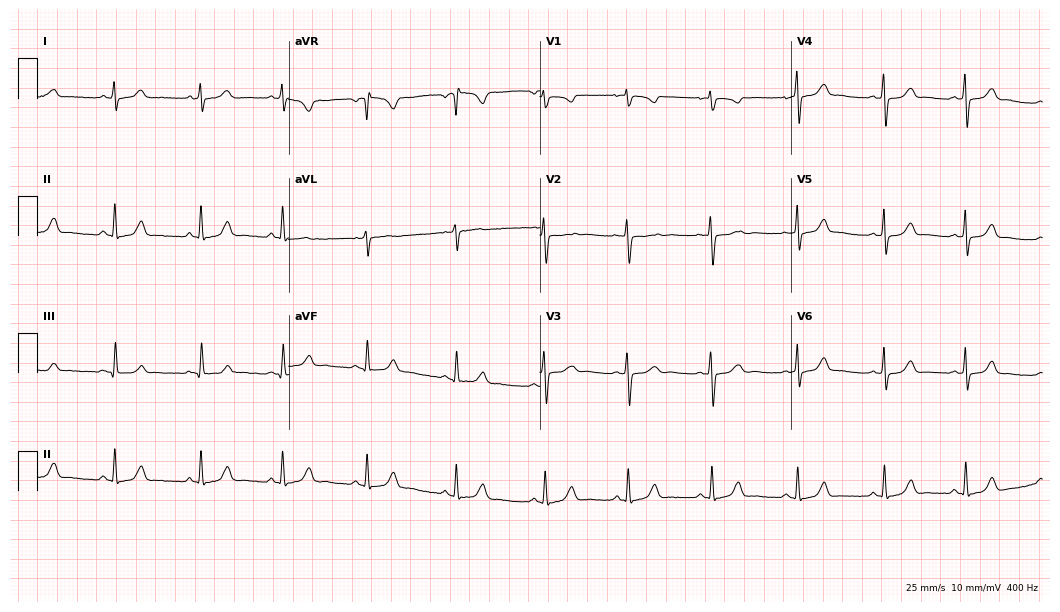
12-lead ECG (10.2-second recording at 400 Hz) from a 21-year-old female. Labelled as a normal ECG.